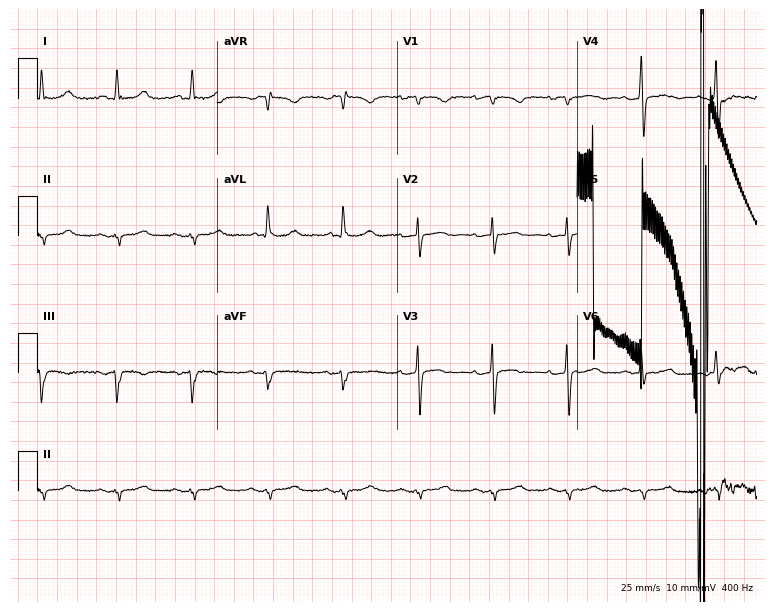
12-lead ECG from a 79-year-old female (7.3-second recording at 400 Hz). No first-degree AV block, right bundle branch block, left bundle branch block, sinus bradycardia, atrial fibrillation or sinus tachycardia recorded for this tracing. Other findings, if any, are not listed.